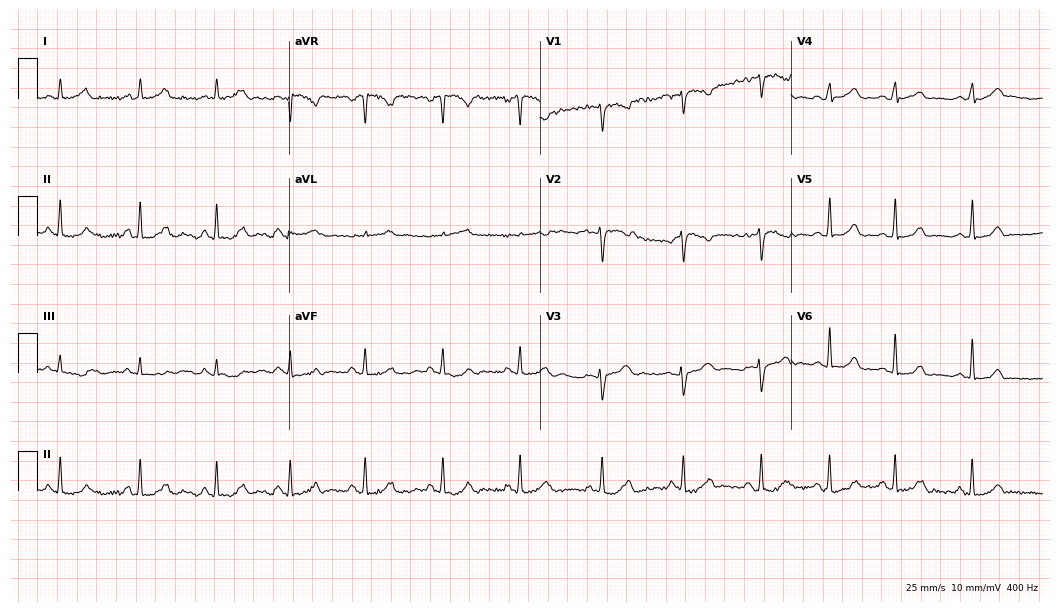
Electrocardiogram, a 37-year-old female. Overall reading on record: normal ECG.